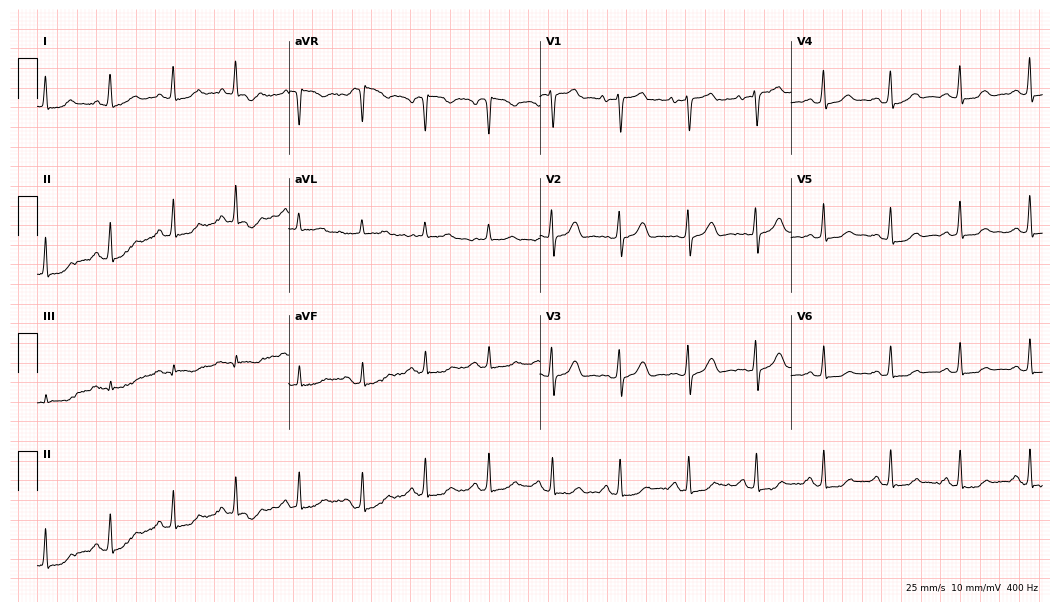
12-lead ECG from a 62-year-old female patient. Labelled as a normal ECG.